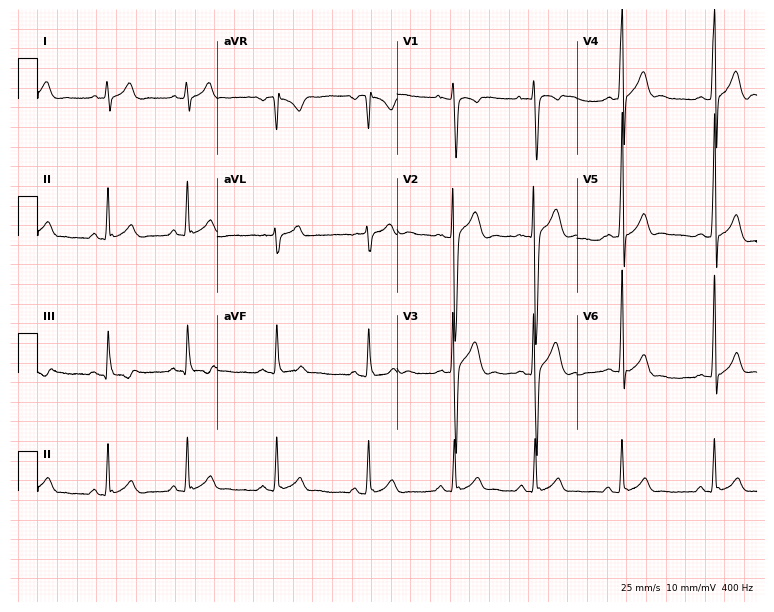
Standard 12-lead ECG recorded from a male patient, 19 years old. Read as a normal ECG.